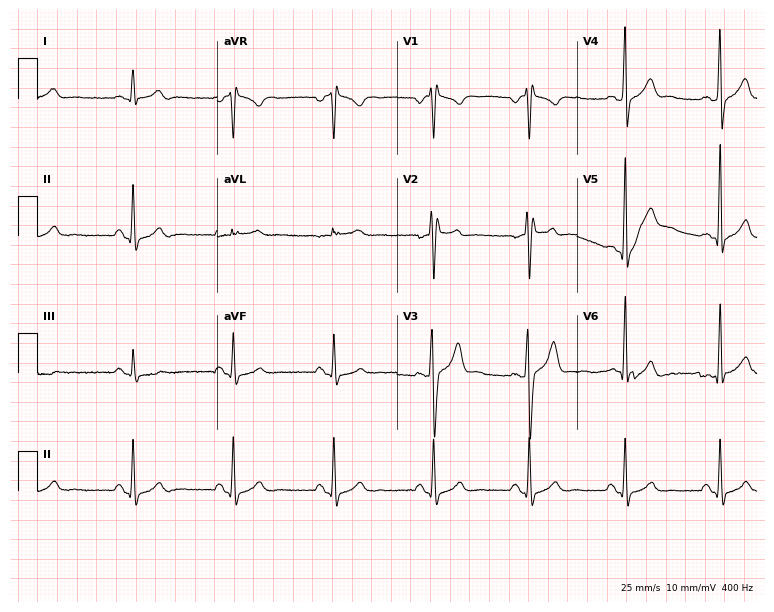
Resting 12-lead electrocardiogram. Patient: a male, 36 years old. None of these six findings is recorded: first-degree AV block, right bundle branch block, left bundle branch block, sinus bradycardia, atrial fibrillation, sinus tachycardia.